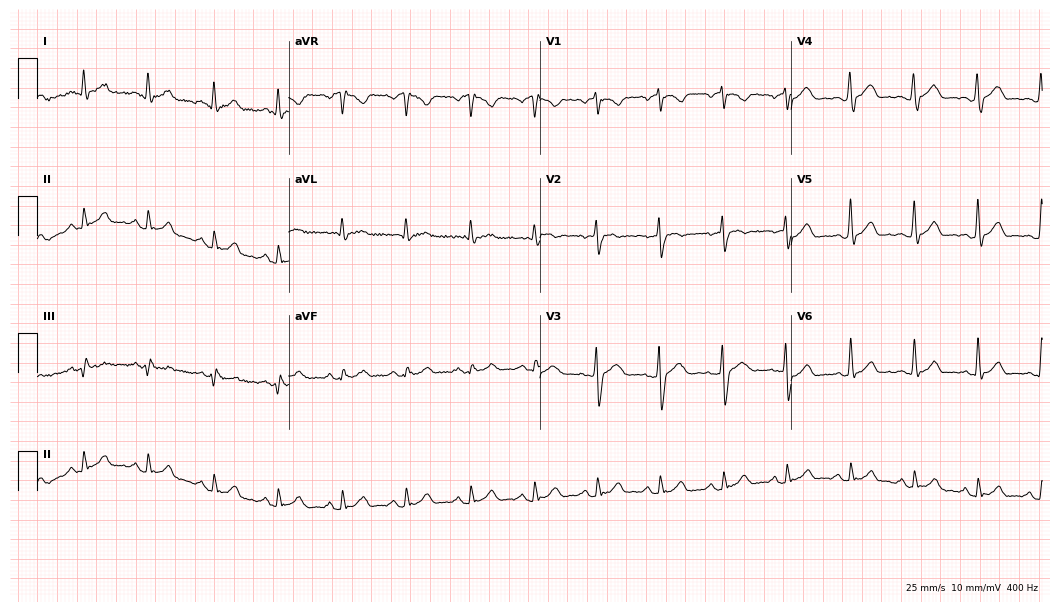
Resting 12-lead electrocardiogram (10.2-second recording at 400 Hz). Patient: a 42-year-old male. Read as a normal ECG.